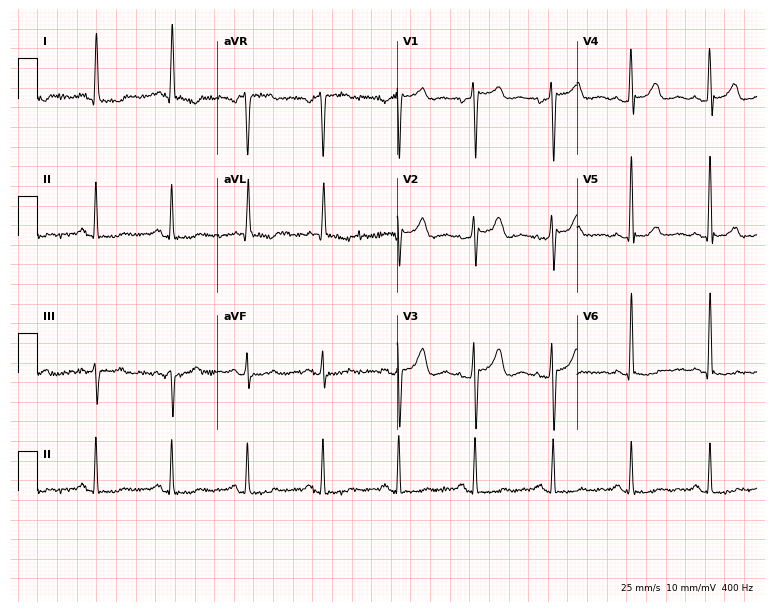
12-lead ECG from a female patient, 49 years old (7.3-second recording at 400 Hz). No first-degree AV block, right bundle branch block (RBBB), left bundle branch block (LBBB), sinus bradycardia, atrial fibrillation (AF) or sinus tachycardia recorded for this tracing.